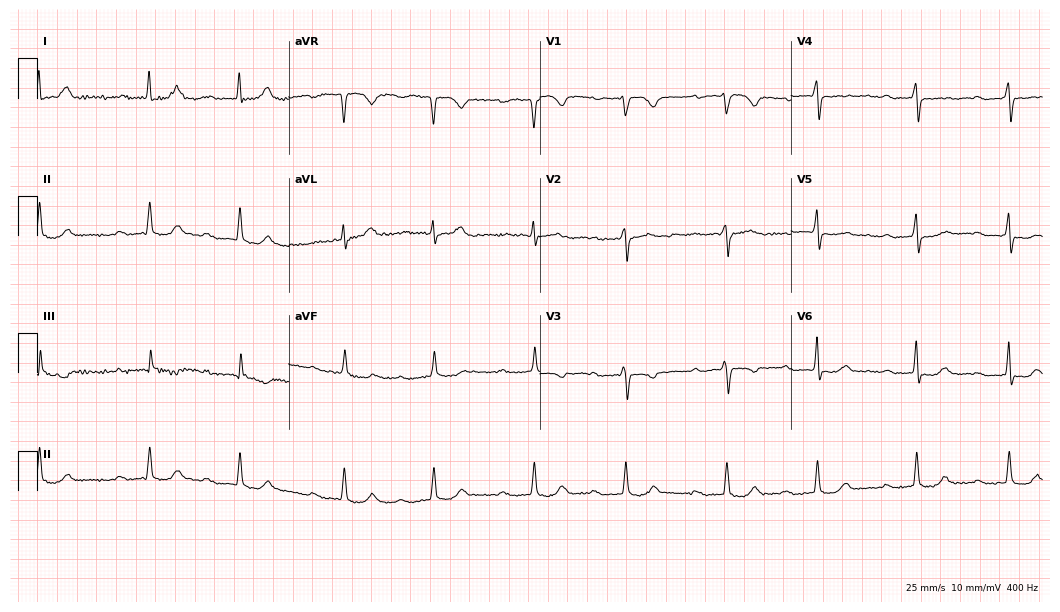
12-lead ECG from a 73-year-old woman. No first-degree AV block, right bundle branch block, left bundle branch block, sinus bradycardia, atrial fibrillation or sinus tachycardia recorded for this tracing.